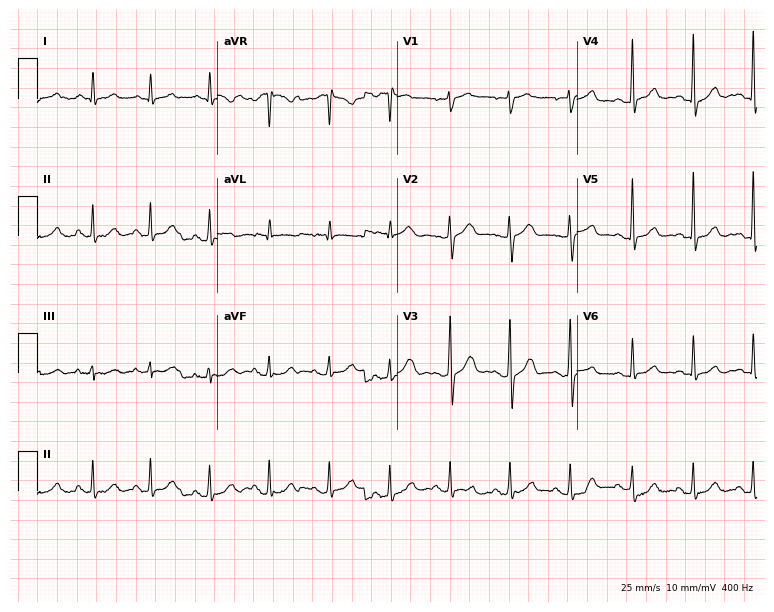
12-lead ECG from a female patient, 58 years old. No first-degree AV block, right bundle branch block, left bundle branch block, sinus bradycardia, atrial fibrillation or sinus tachycardia recorded for this tracing.